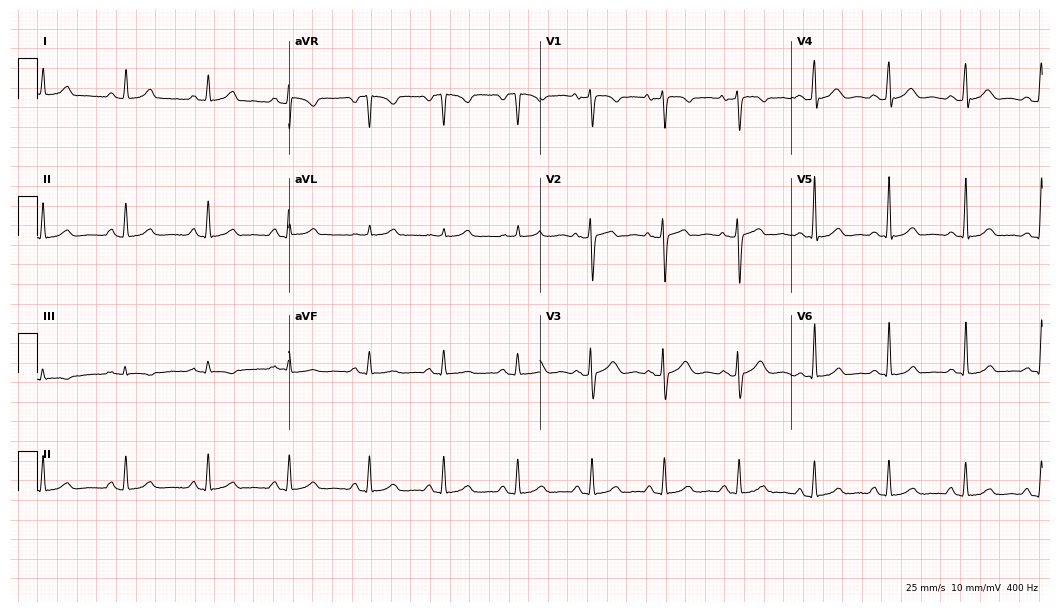
Standard 12-lead ECG recorded from a 37-year-old female patient. Read as a normal ECG.